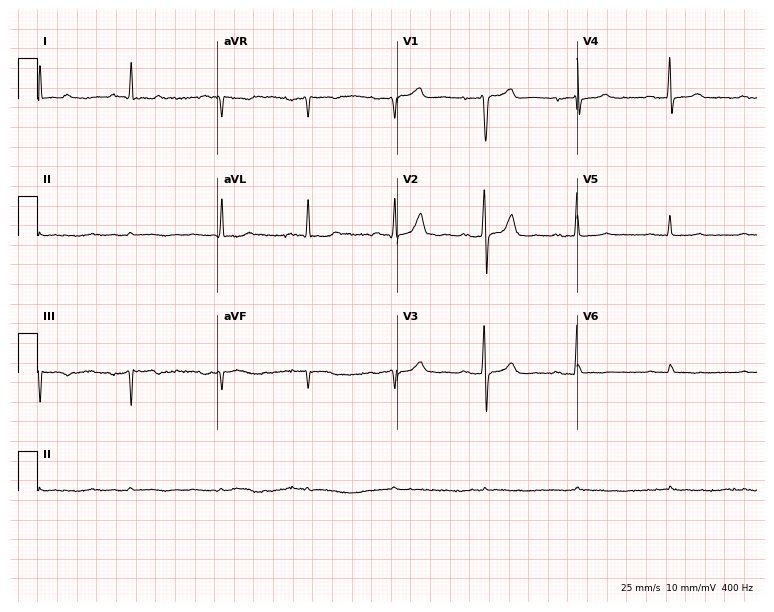
Standard 12-lead ECG recorded from a man, 71 years old (7.3-second recording at 400 Hz). None of these six findings is recorded: first-degree AV block, right bundle branch block (RBBB), left bundle branch block (LBBB), sinus bradycardia, atrial fibrillation (AF), sinus tachycardia. Findings outside these six are not listed.